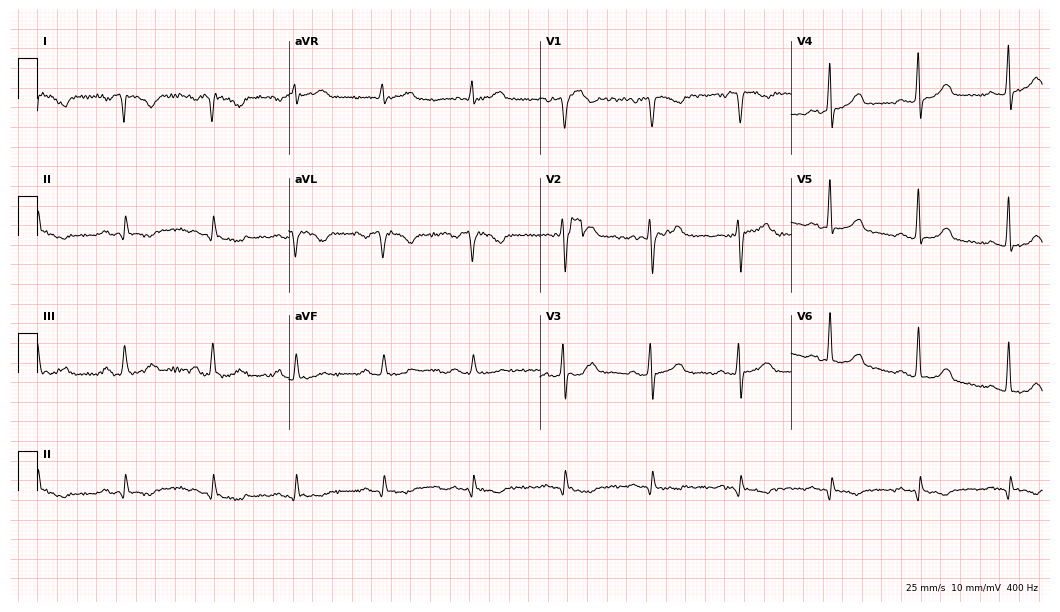
ECG (10.2-second recording at 400 Hz) — a 61-year-old woman. Screened for six findings — first-degree AV block, right bundle branch block, left bundle branch block, sinus bradycardia, atrial fibrillation, sinus tachycardia — none is recorded. Findings outside these six are not listed.